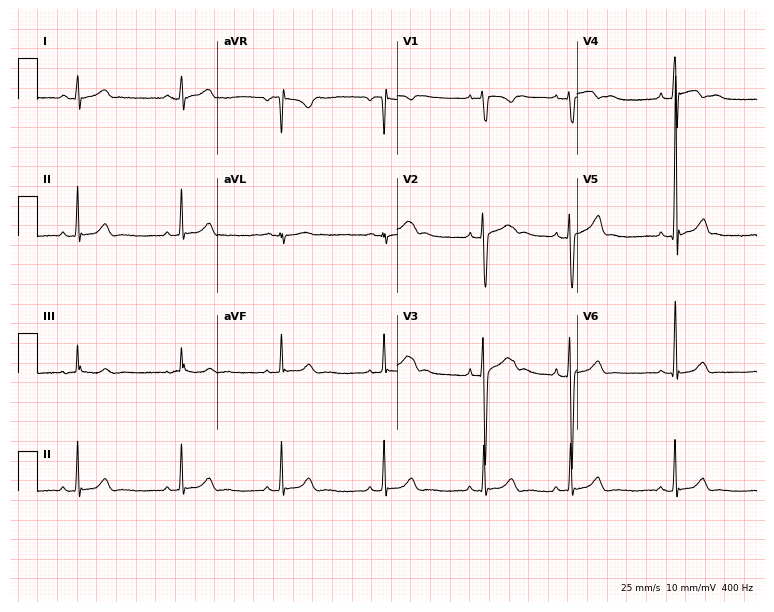
Electrocardiogram (7.3-second recording at 400 Hz), a male, 17 years old. Of the six screened findings (first-degree AV block, right bundle branch block, left bundle branch block, sinus bradycardia, atrial fibrillation, sinus tachycardia), none is recorded. Findings outside these six are not listed.